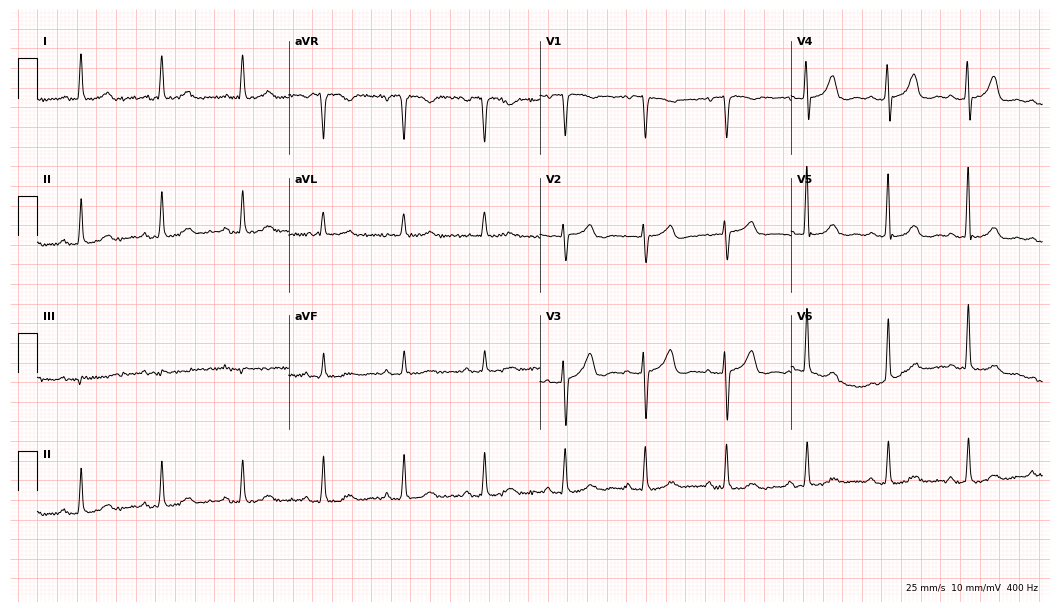
12-lead ECG from a female patient, 70 years old (10.2-second recording at 400 Hz). Recorded interpretation: within normal limits.